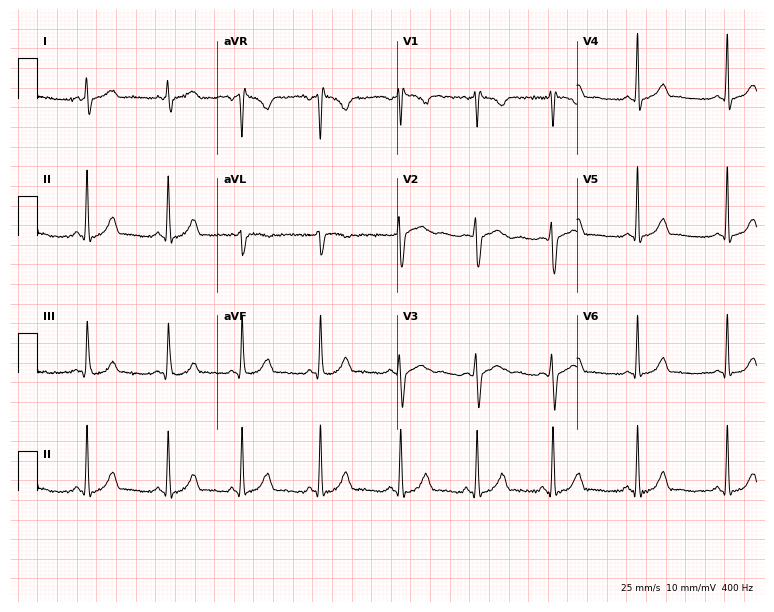
Standard 12-lead ECG recorded from a woman, 23 years old. Read as a normal ECG.